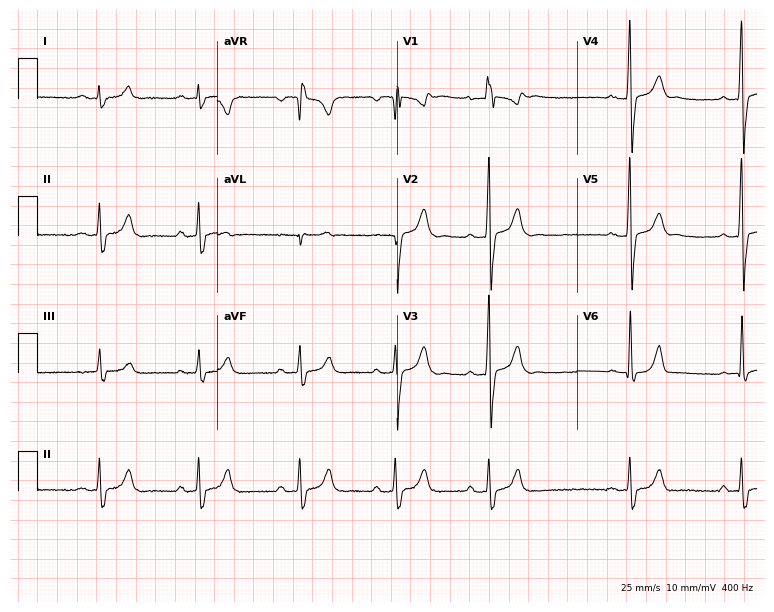
ECG (7.3-second recording at 400 Hz) — a male, 17 years old. Screened for six findings — first-degree AV block, right bundle branch block (RBBB), left bundle branch block (LBBB), sinus bradycardia, atrial fibrillation (AF), sinus tachycardia — none is recorded. Findings outside these six are not listed.